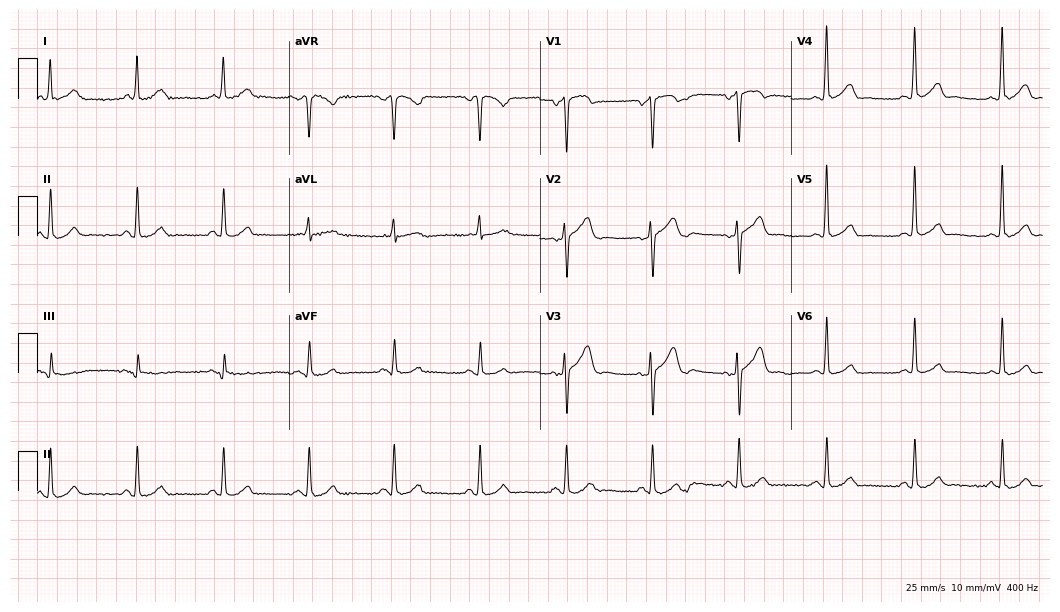
Resting 12-lead electrocardiogram (10.2-second recording at 400 Hz). Patient: a 70-year-old man. Read as a normal ECG.